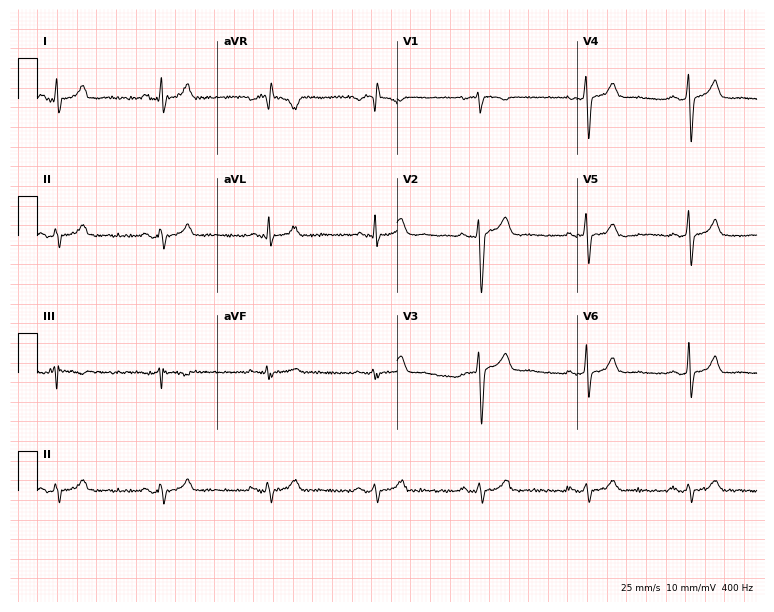
12-lead ECG (7.3-second recording at 400 Hz) from a male, 42 years old. Screened for six findings — first-degree AV block, right bundle branch block, left bundle branch block, sinus bradycardia, atrial fibrillation, sinus tachycardia — none is recorded.